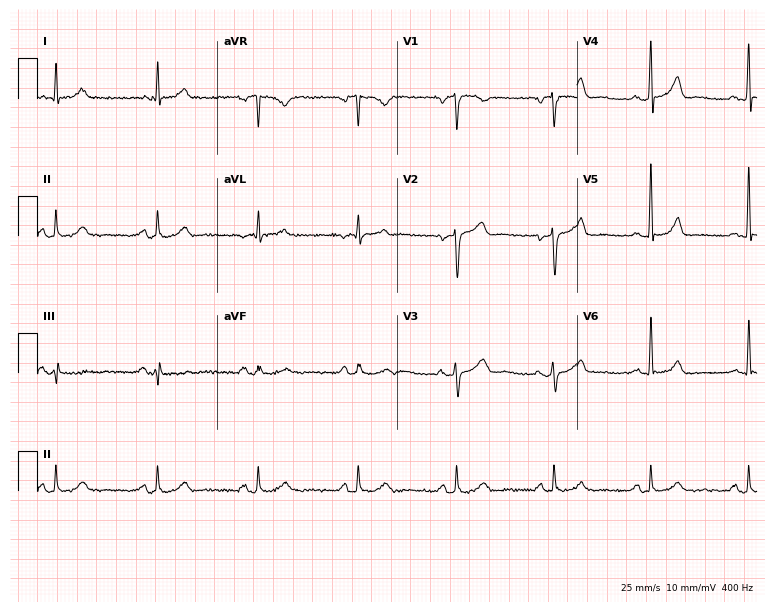
12-lead ECG from a 65-year-old male. No first-degree AV block, right bundle branch block, left bundle branch block, sinus bradycardia, atrial fibrillation or sinus tachycardia recorded for this tracing. Other findings, if any, are not listed.